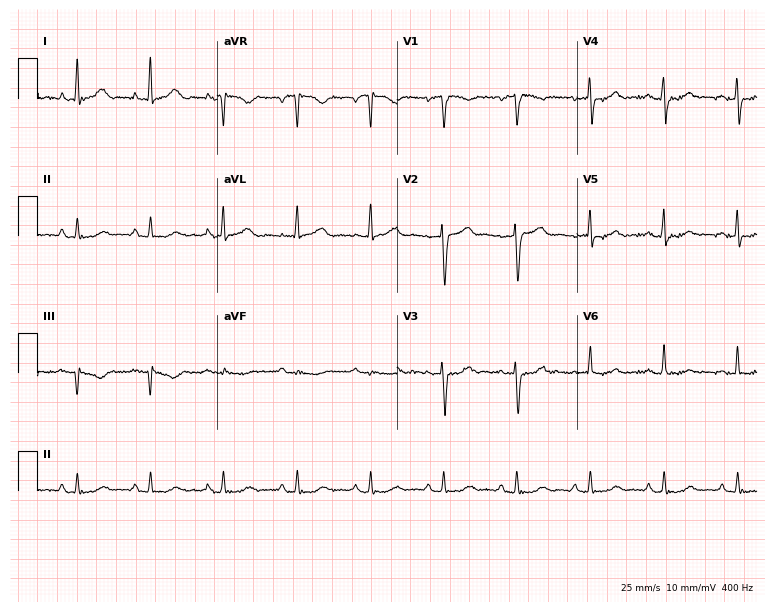
12-lead ECG from a 53-year-old female patient. No first-degree AV block, right bundle branch block (RBBB), left bundle branch block (LBBB), sinus bradycardia, atrial fibrillation (AF) or sinus tachycardia recorded for this tracing. Other findings, if any, are not listed.